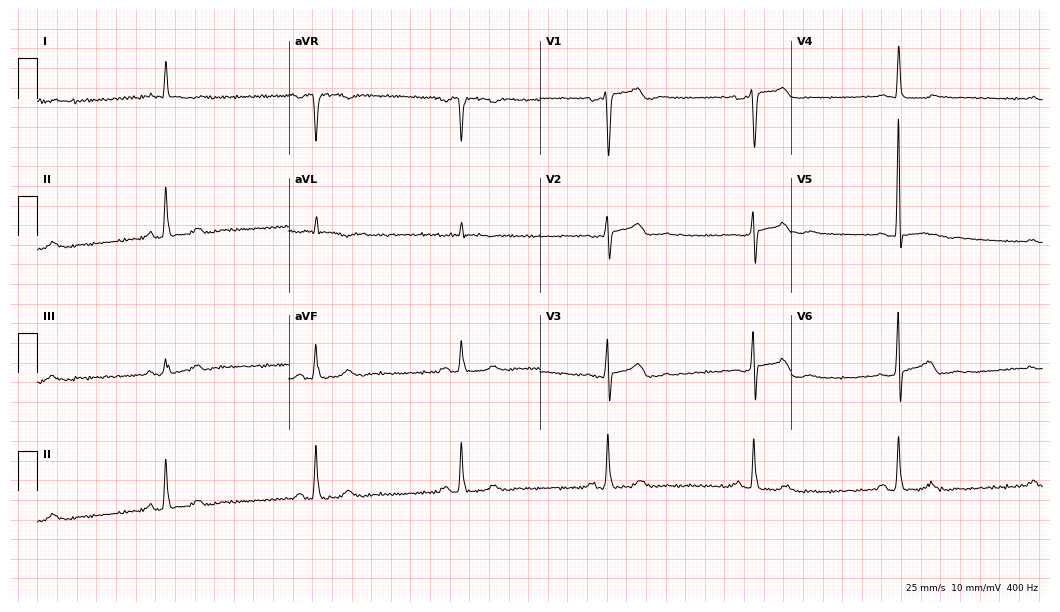
Standard 12-lead ECG recorded from a male, 70 years old. The tracing shows sinus bradycardia (a sinus rate of 50 beats per minute or less).